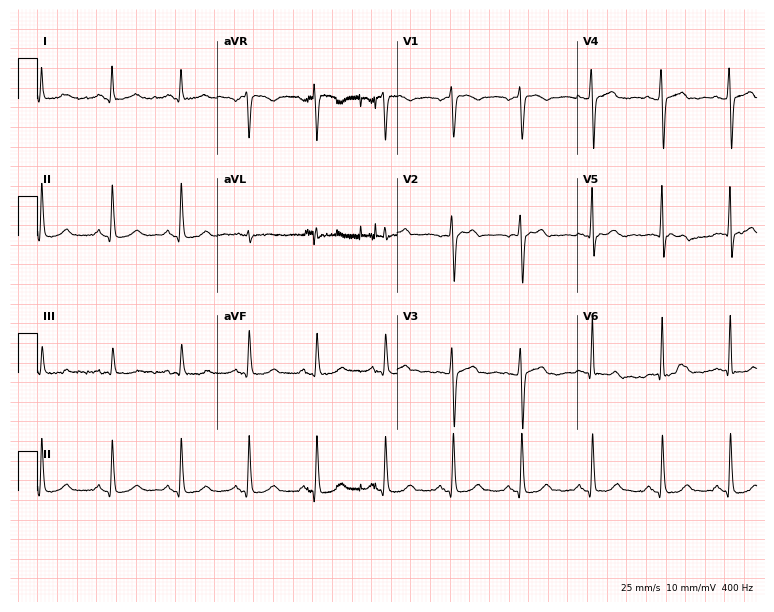
Resting 12-lead electrocardiogram. Patient: a 49-year-old woman. Read as a normal ECG.